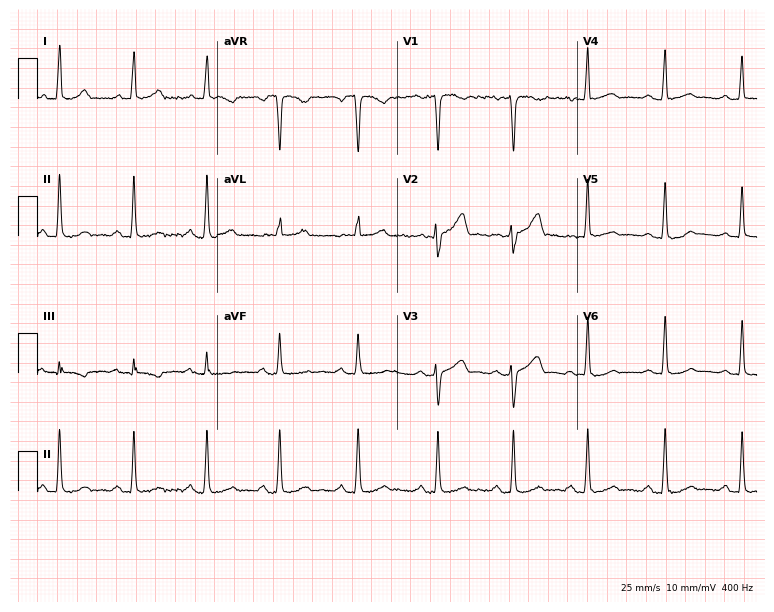
Resting 12-lead electrocardiogram (7.3-second recording at 400 Hz). Patient: a woman, 35 years old. None of these six findings is recorded: first-degree AV block, right bundle branch block, left bundle branch block, sinus bradycardia, atrial fibrillation, sinus tachycardia.